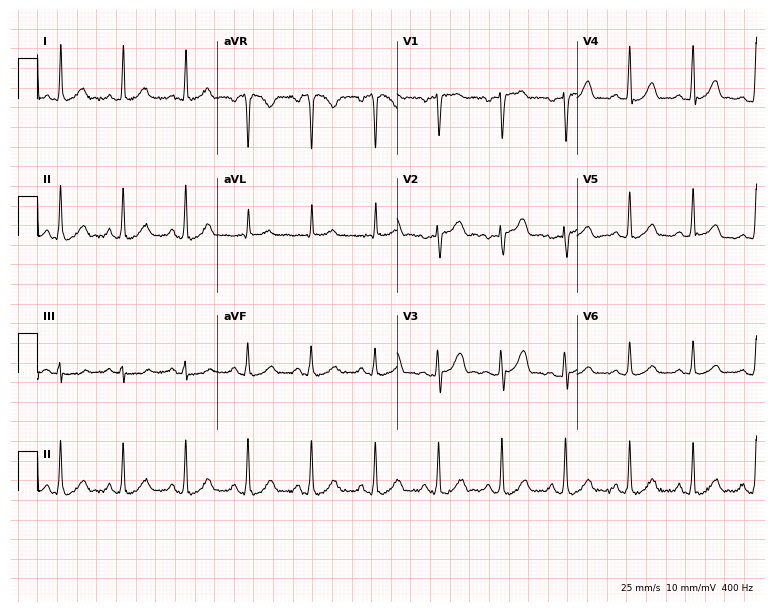
Standard 12-lead ECG recorded from a 45-year-old female patient (7.3-second recording at 400 Hz). None of these six findings is recorded: first-degree AV block, right bundle branch block (RBBB), left bundle branch block (LBBB), sinus bradycardia, atrial fibrillation (AF), sinus tachycardia. Other findings, if any, are not listed.